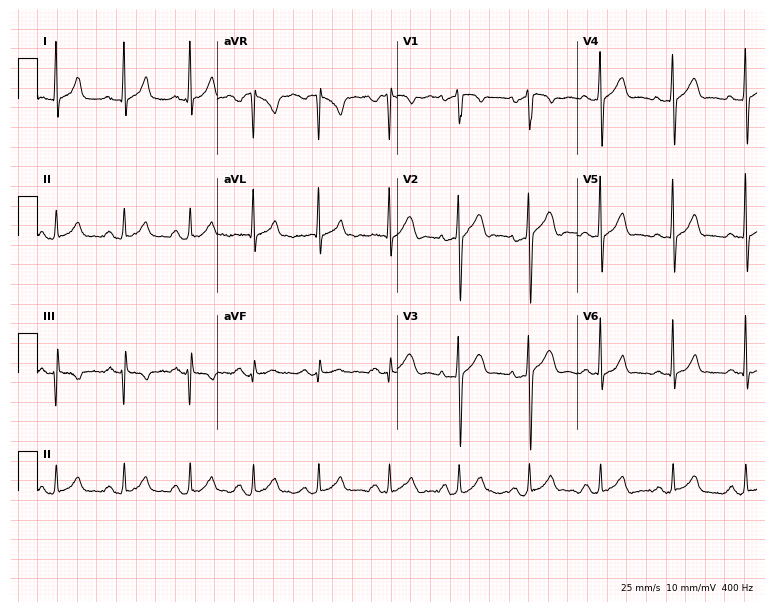
ECG (7.3-second recording at 400 Hz) — a 42-year-old male patient. Labelled as a normal ECG.